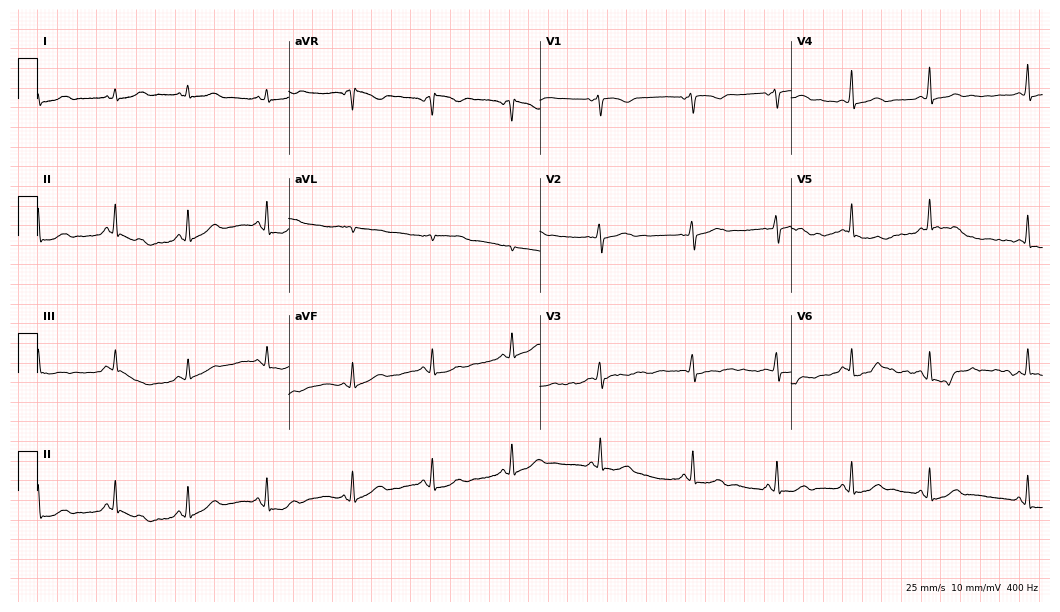
ECG — a woman, 26 years old. Screened for six findings — first-degree AV block, right bundle branch block, left bundle branch block, sinus bradycardia, atrial fibrillation, sinus tachycardia — none is recorded. Findings outside these six are not listed.